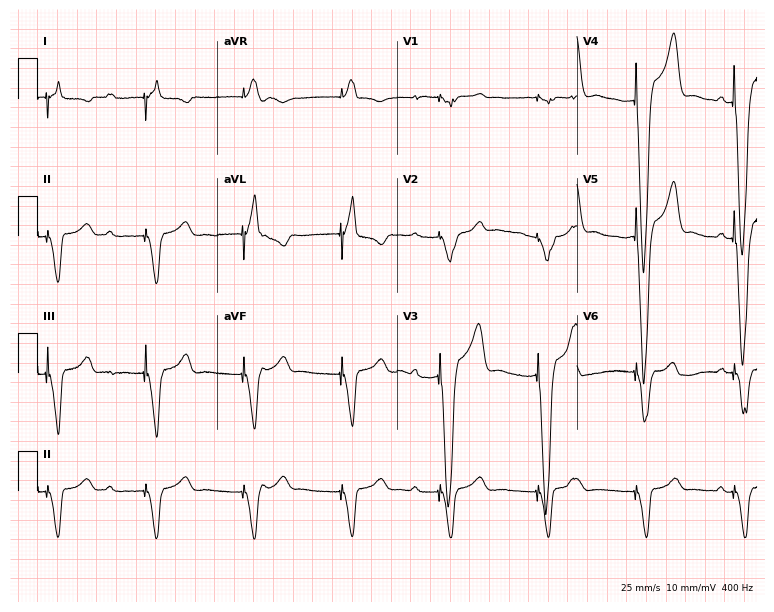
Standard 12-lead ECG recorded from a male patient, 79 years old. None of these six findings is recorded: first-degree AV block, right bundle branch block, left bundle branch block, sinus bradycardia, atrial fibrillation, sinus tachycardia.